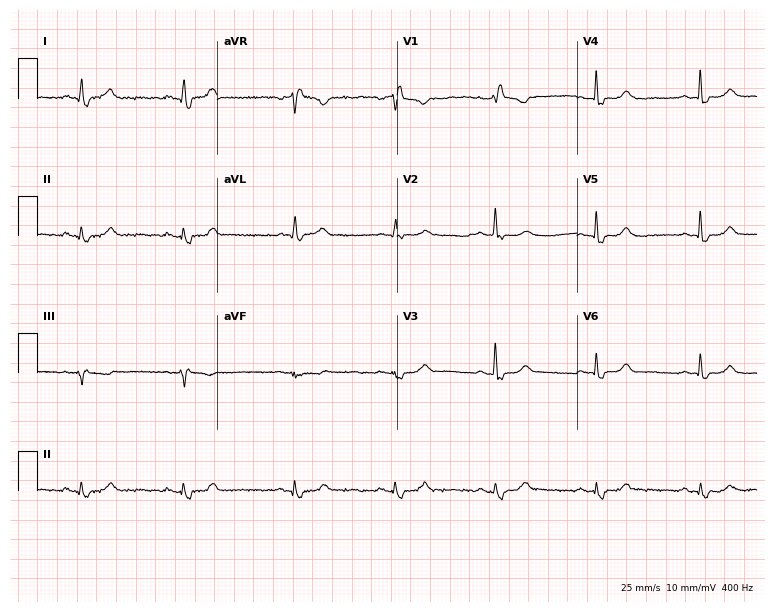
ECG (7.3-second recording at 400 Hz) — a 66-year-old female. Findings include right bundle branch block.